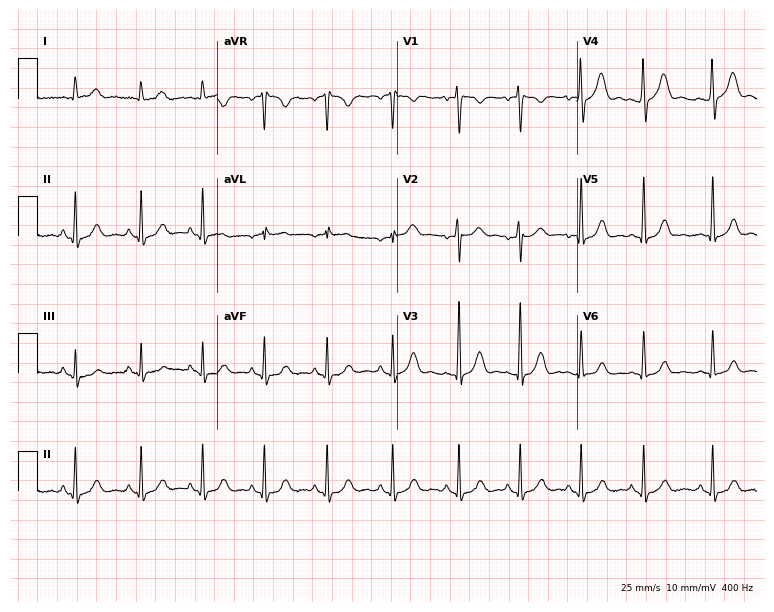
Electrocardiogram (7.3-second recording at 400 Hz), a 28-year-old female patient. Of the six screened findings (first-degree AV block, right bundle branch block (RBBB), left bundle branch block (LBBB), sinus bradycardia, atrial fibrillation (AF), sinus tachycardia), none is recorded.